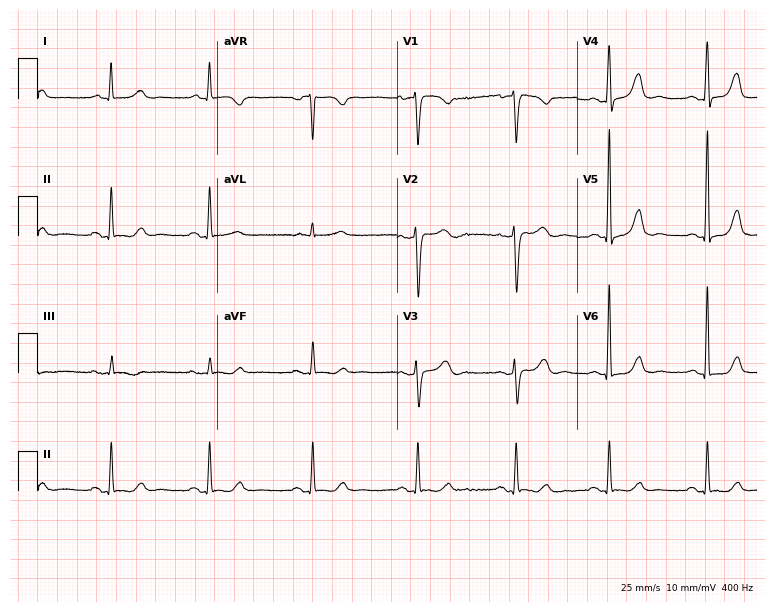
12-lead ECG from a 45-year-old woman. Recorded interpretation: within normal limits.